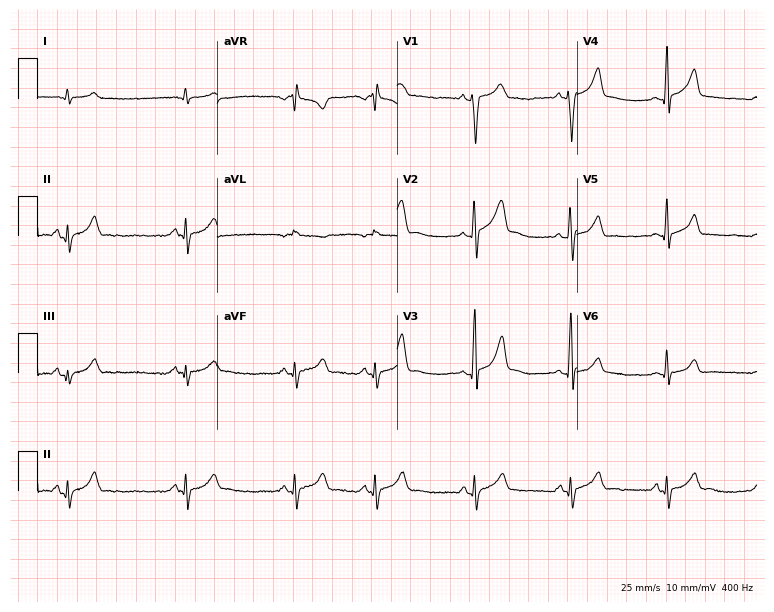
12-lead ECG (7.3-second recording at 400 Hz) from a 20-year-old male patient. Screened for six findings — first-degree AV block, right bundle branch block, left bundle branch block, sinus bradycardia, atrial fibrillation, sinus tachycardia — none is recorded.